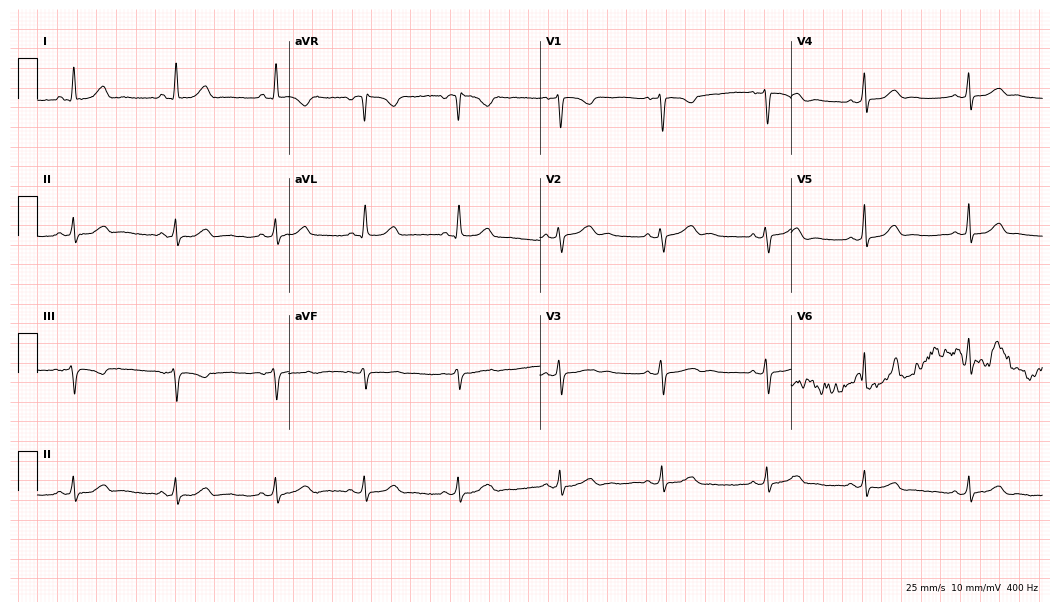
ECG (10.2-second recording at 400 Hz) — a female patient, 56 years old. Labelled as a normal ECG.